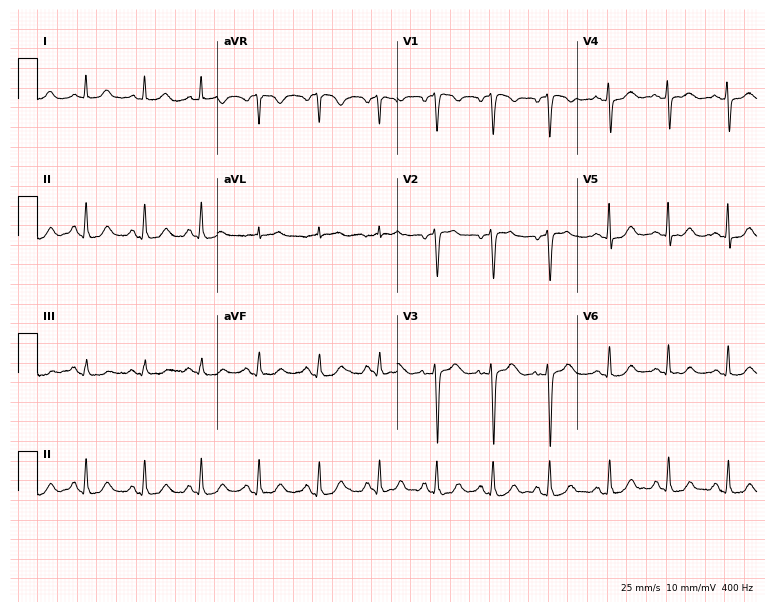
12-lead ECG (7.3-second recording at 400 Hz) from a woman, 46 years old. Labelled as a normal ECG.